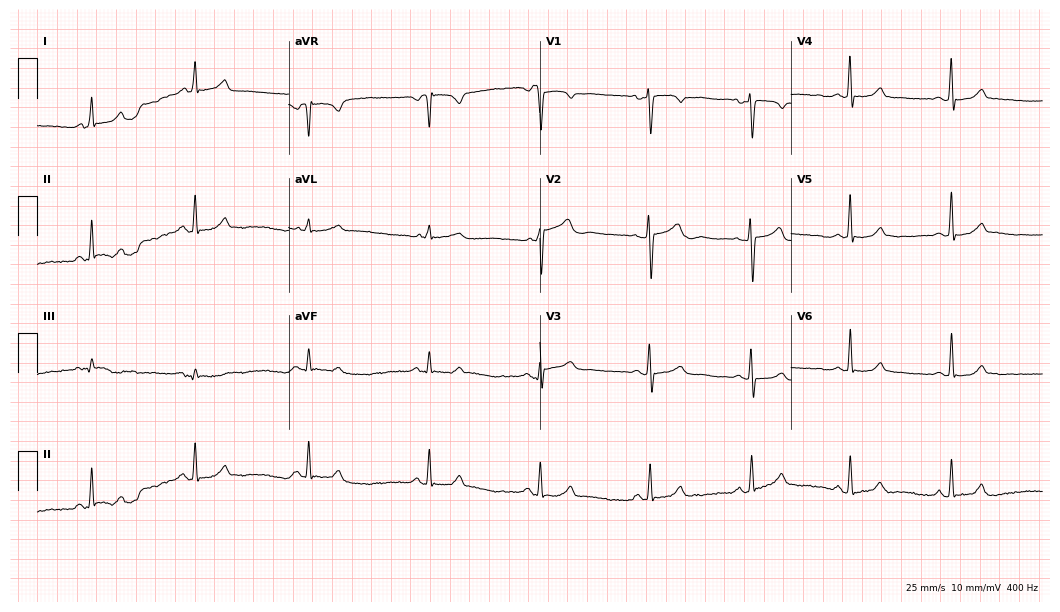
Resting 12-lead electrocardiogram. Patient: a female, 53 years old. None of these six findings is recorded: first-degree AV block, right bundle branch block (RBBB), left bundle branch block (LBBB), sinus bradycardia, atrial fibrillation (AF), sinus tachycardia.